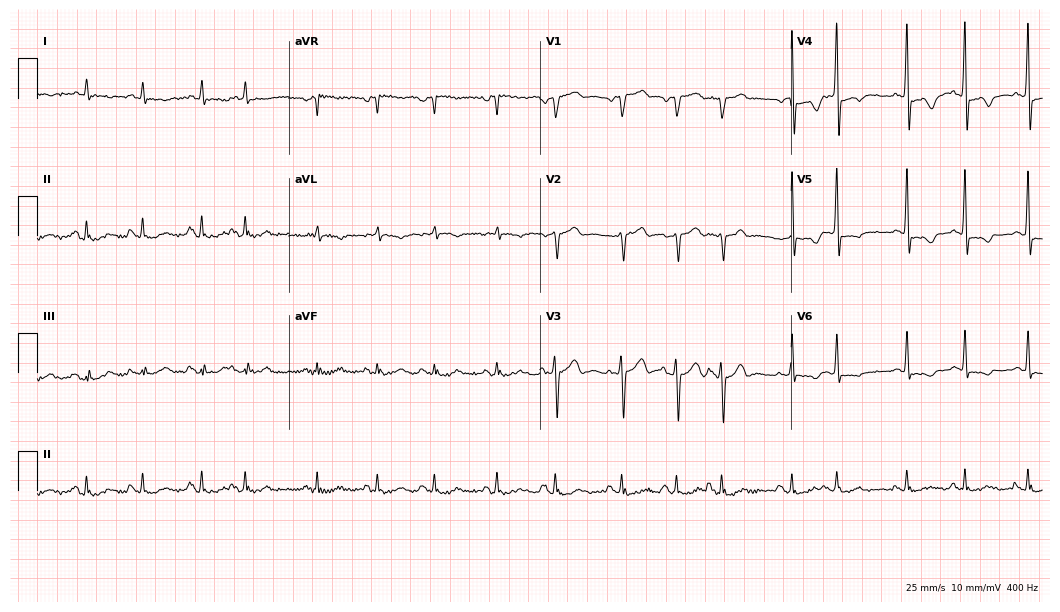
Electrocardiogram (10.2-second recording at 400 Hz), a 75-year-old male patient. Of the six screened findings (first-degree AV block, right bundle branch block (RBBB), left bundle branch block (LBBB), sinus bradycardia, atrial fibrillation (AF), sinus tachycardia), none is recorded.